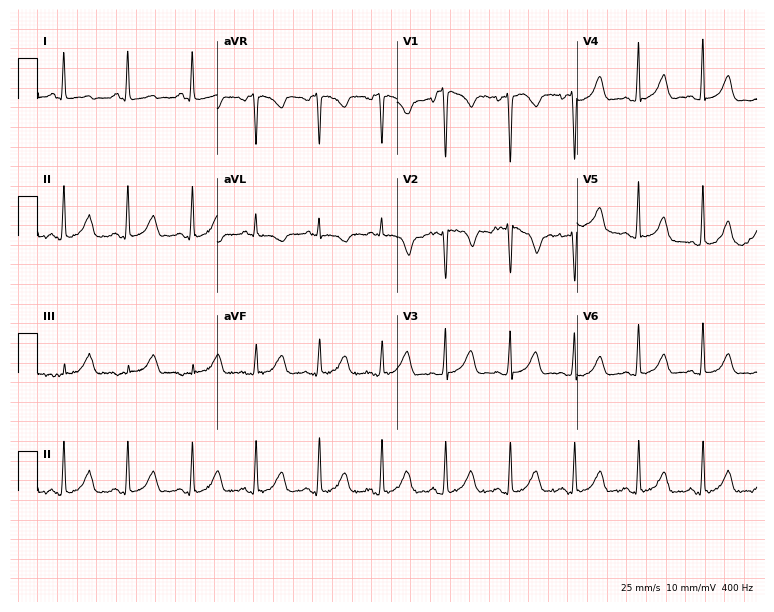
12-lead ECG from a 43-year-old female patient. Screened for six findings — first-degree AV block, right bundle branch block, left bundle branch block, sinus bradycardia, atrial fibrillation, sinus tachycardia — none is recorded. Findings outside these six are not listed.